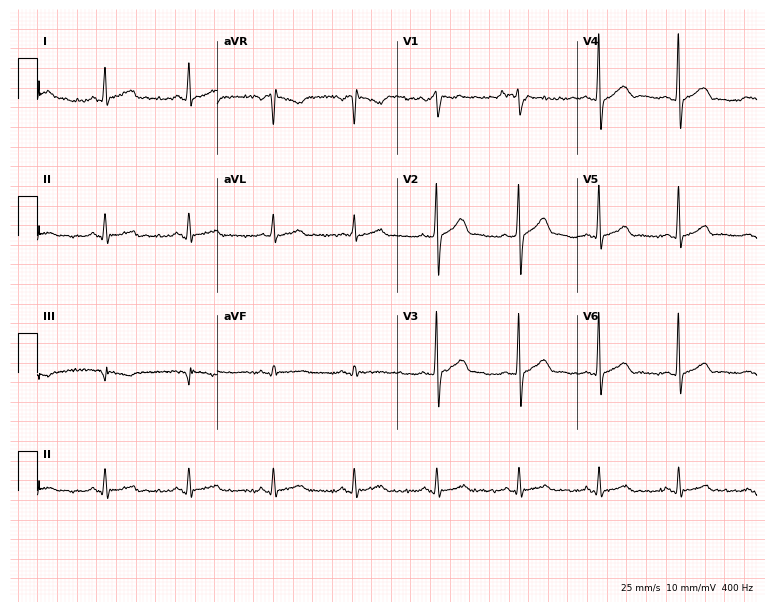
Electrocardiogram (7.3-second recording at 400 Hz), a male patient, 42 years old. Overall reading on record: normal ECG.